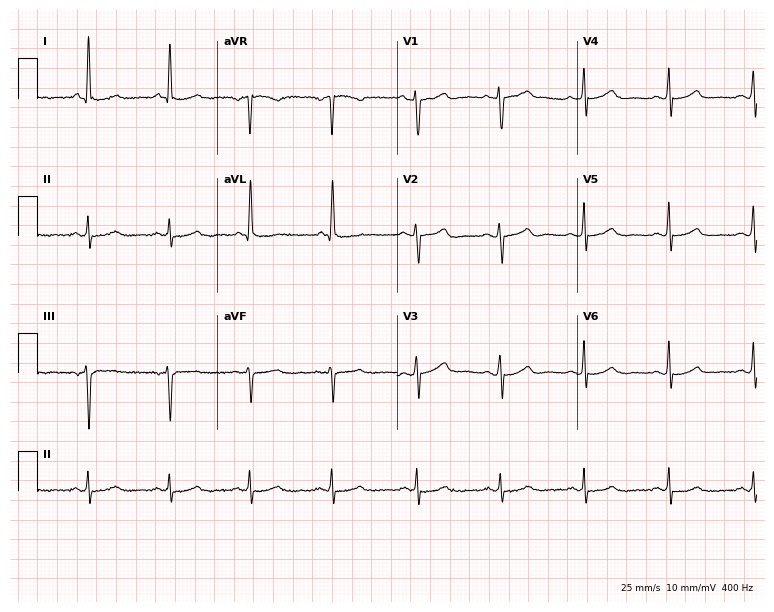
12-lead ECG from a 52-year-old woman. No first-degree AV block, right bundle branch block, left bundle branch block, sinus bradycardia, atrial fibrillation or sinus tachycardia recorded for this tracing. Other findings, if any, are not listed.